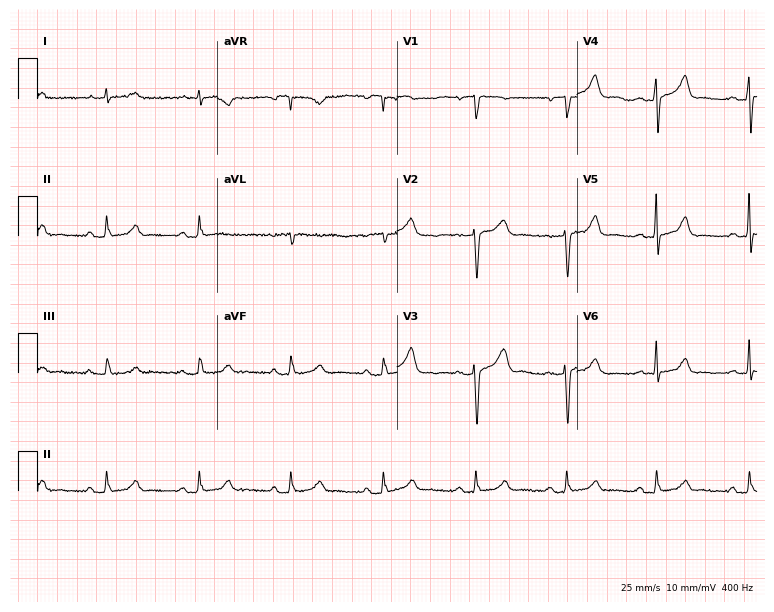
12-lead ECG from an 81-year-old male. Recorded interpretation: within normal limits.